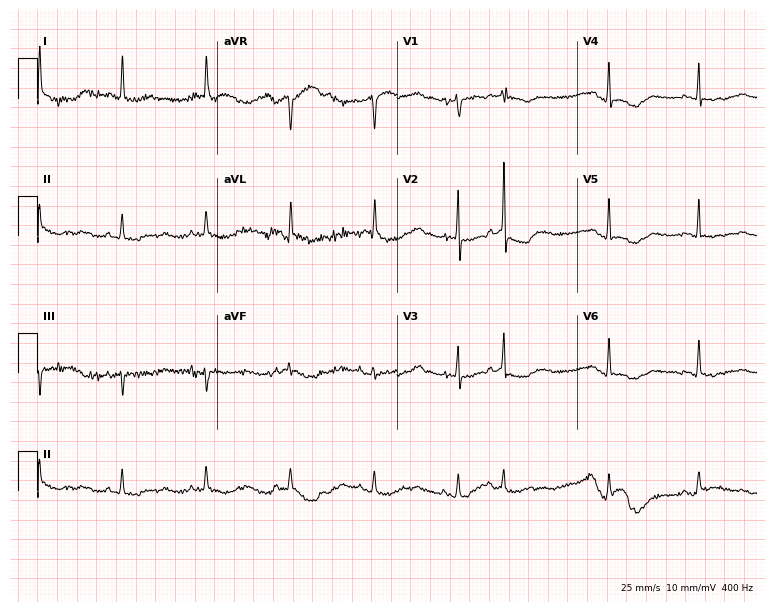
12-lead ECG from a female, 79 years old. Screened for six findings — first-degree AV block, right bundle branch block, left bundle branch block, sinus bradycardia, atrial fibrillation, sinus tachycardia — none is recorded. Findings outside these six are not listed.